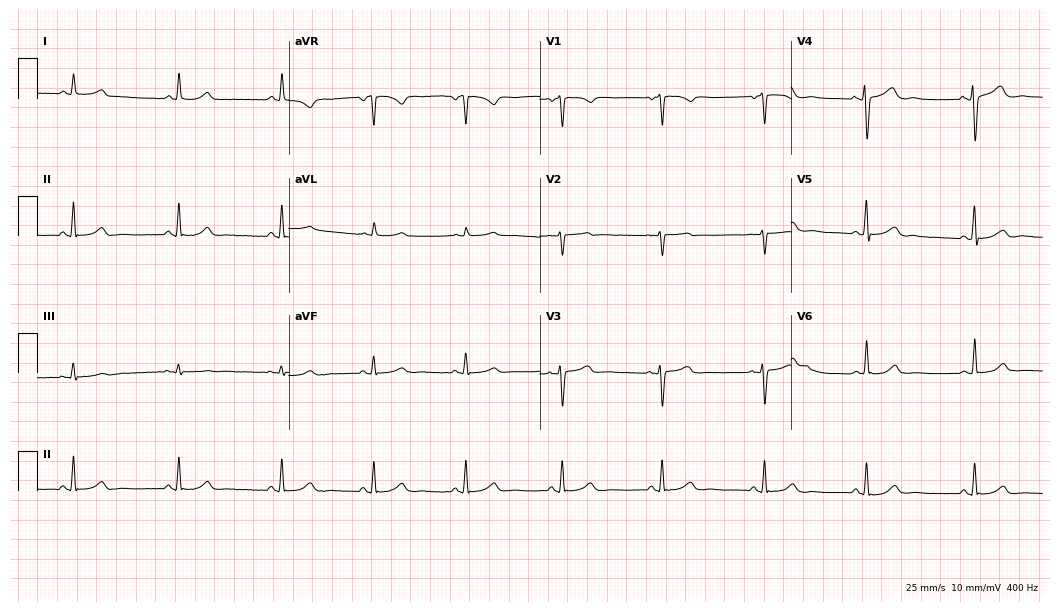
ECG (10.2-second recording at 400 Hz) — a female patient, 44 years old. Labelled as a normal ECG.